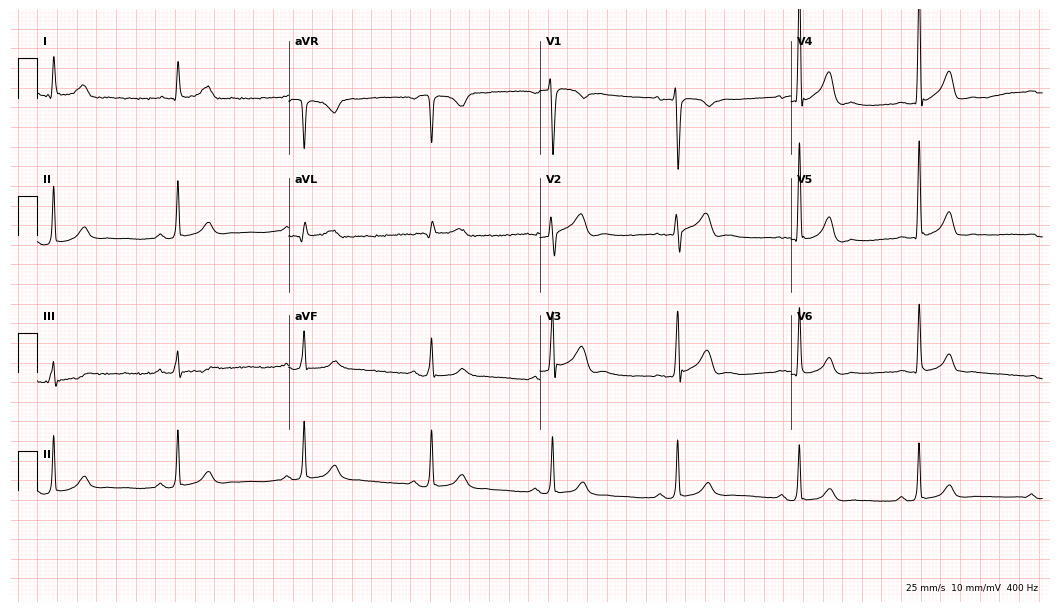
12-lead ECG from a male patient, 45 years old (10.2-second recording at 400 Hz). Shows sinus bradycardia (a sinus rate of 50 beats per minute or less).